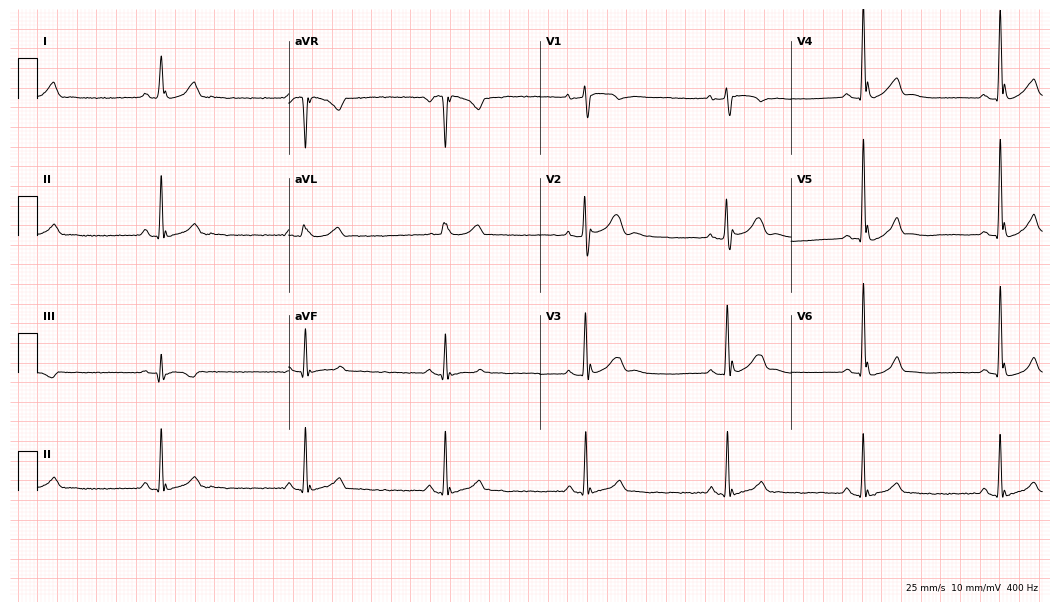
Standard 12-lead ECG recorded from a 33-year-old male (10.2-second recording at 400 Hz). The tracing shows atrial fibrillation.